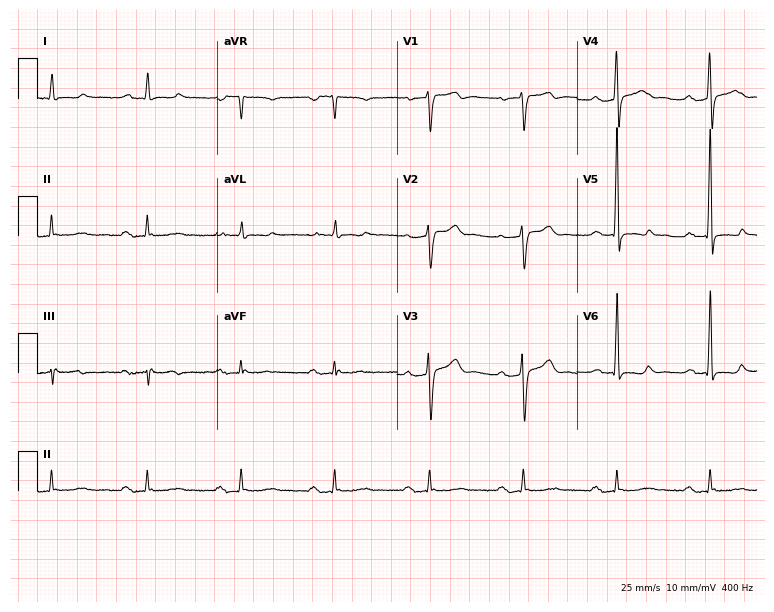
Resting 12-lead electrocardiogram. Patient: a male, 77 years old. The tracing shows first-degree AV block.